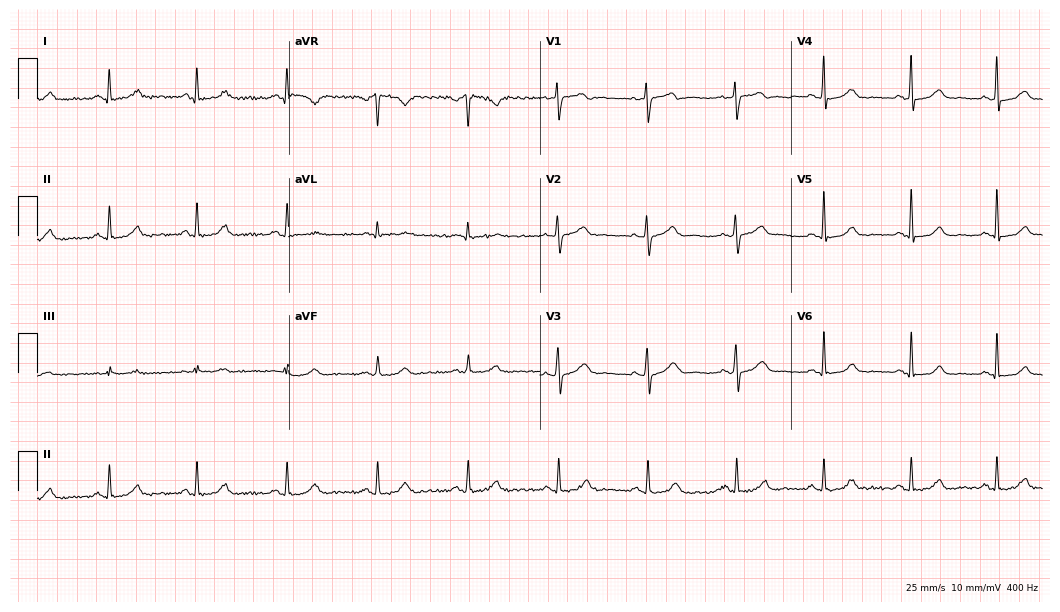
Standard 12-lead ECG recorded from a female patient, 39 years old (10.2-second recording at 400 Hz). Read as a normal ECG.